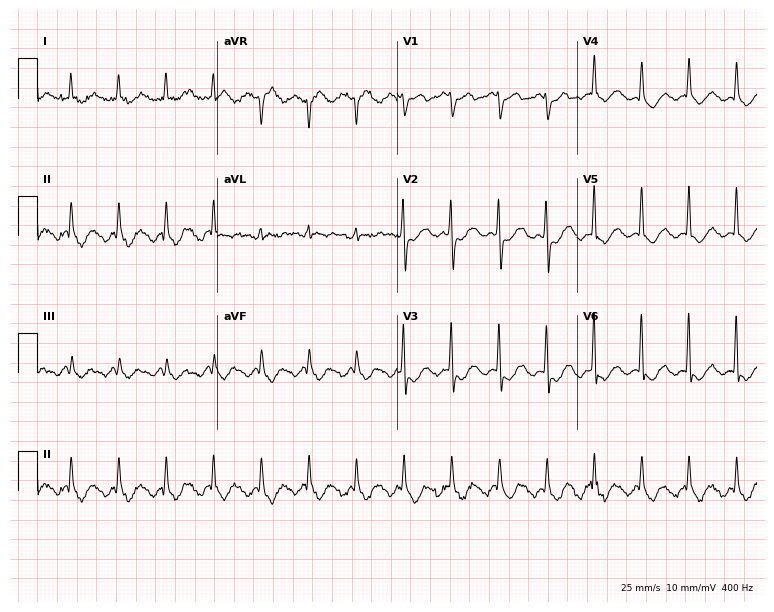
Standard 12-lead ECG recorded from an 81-year-old male. None of these six findings is recorded: first-degree AV block, right bundle branch block, left bundle branch block, sinus bradycardia, atrial fibrillation, sinus tachycardia.